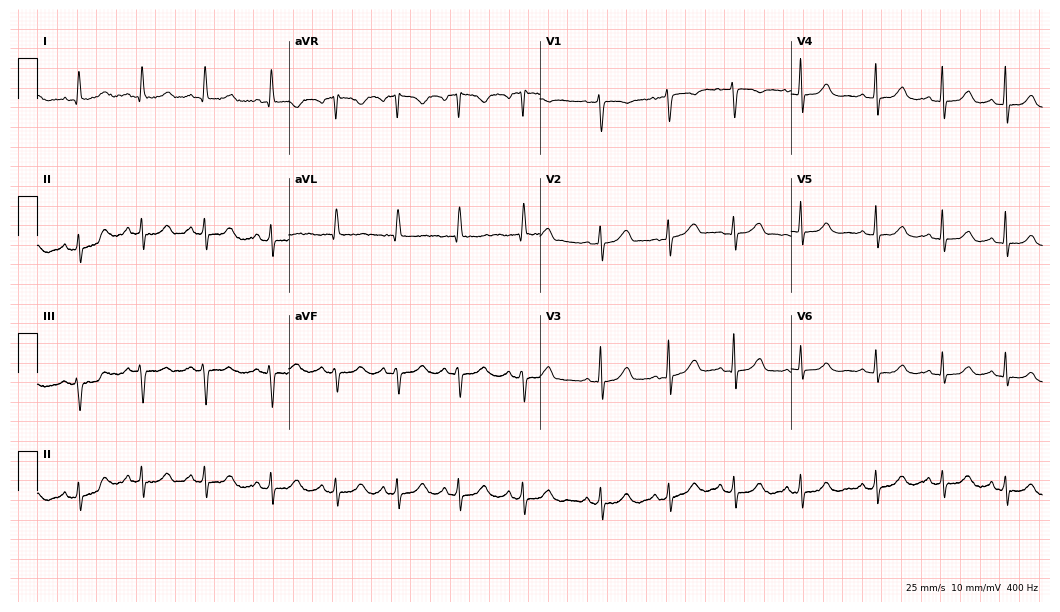
12-lead ECG from a 66-year-old female patient (10.2-second recording at 400 Hz). Recorded interpretation: within normal limits.